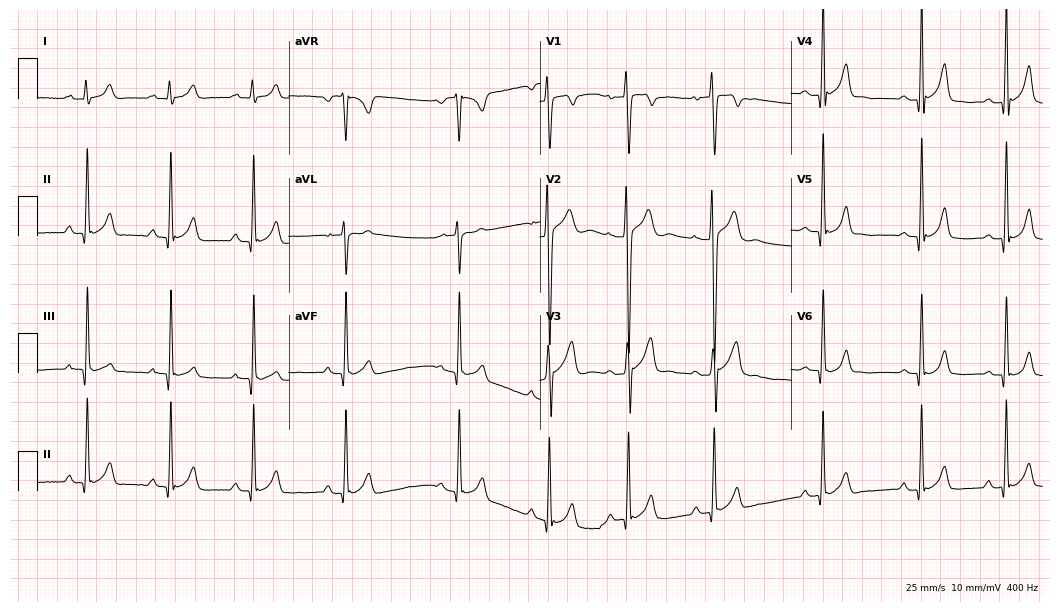
12-lead ECG from a male, 22 years old. Recorded interpretation: within normal limits.